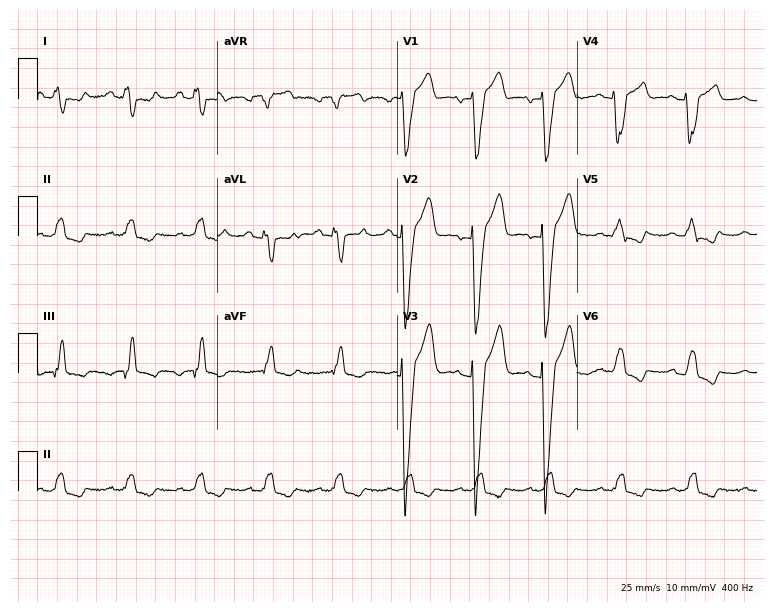
Electrocardiogram, a male patient, 59 years old. Interpretation includes left bundle branch block.